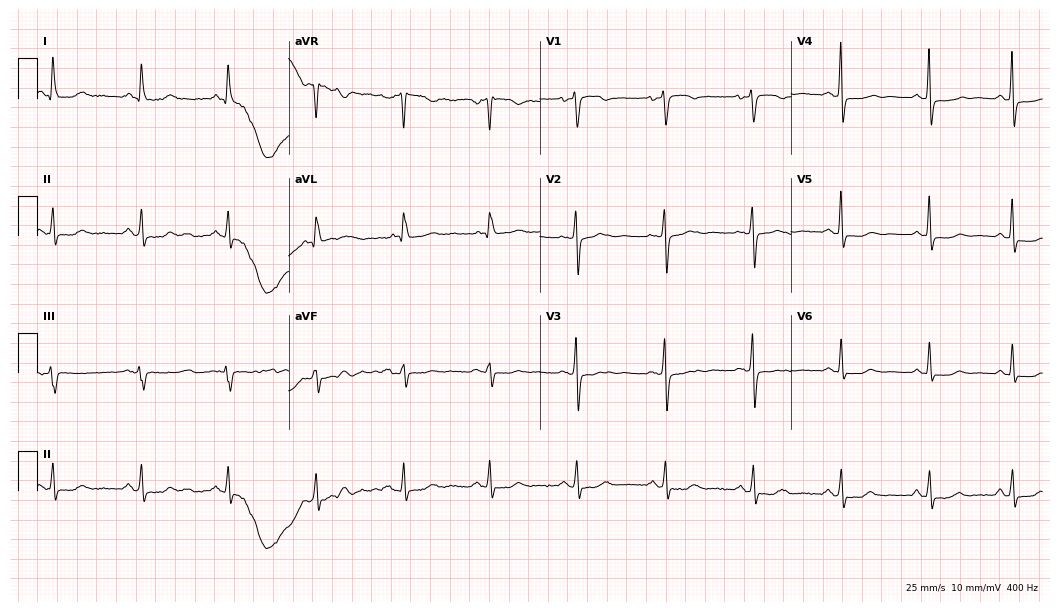
12-lead ECG from a 51-year-old female patient (10.2-second recording at 400 Hz). No first-degree AV block, right bundle branch block (RBBB), left bundle branch block (LBBB), sinus bradycardia, atrial fibrillation (AF) or sinus tachycardia recorded for this tracing.